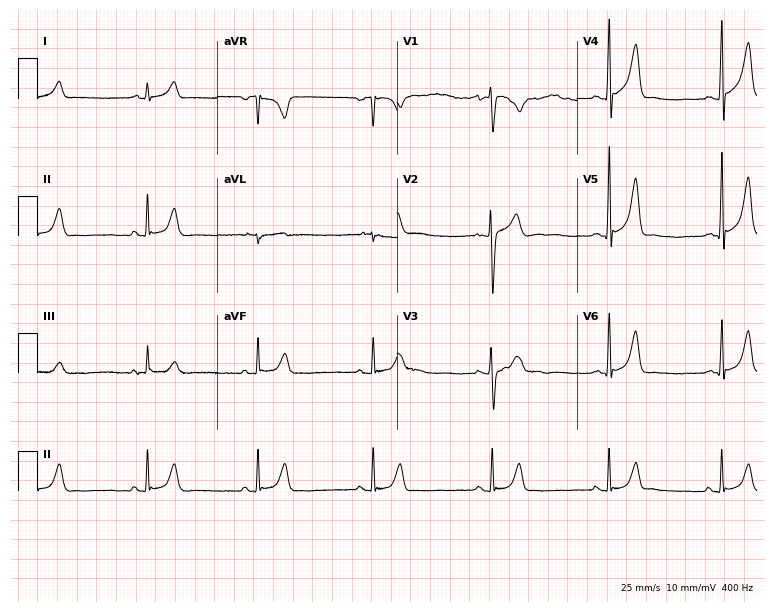
12-lead ECG from an 18-year-old male. Screened for six findings — first-degree AV block, right bundle branch block (RBBB), left bundle branch block (LBBB), sinus bradycardia, atrial fibrillation (AF), sinus tachycardia — none is recorded.